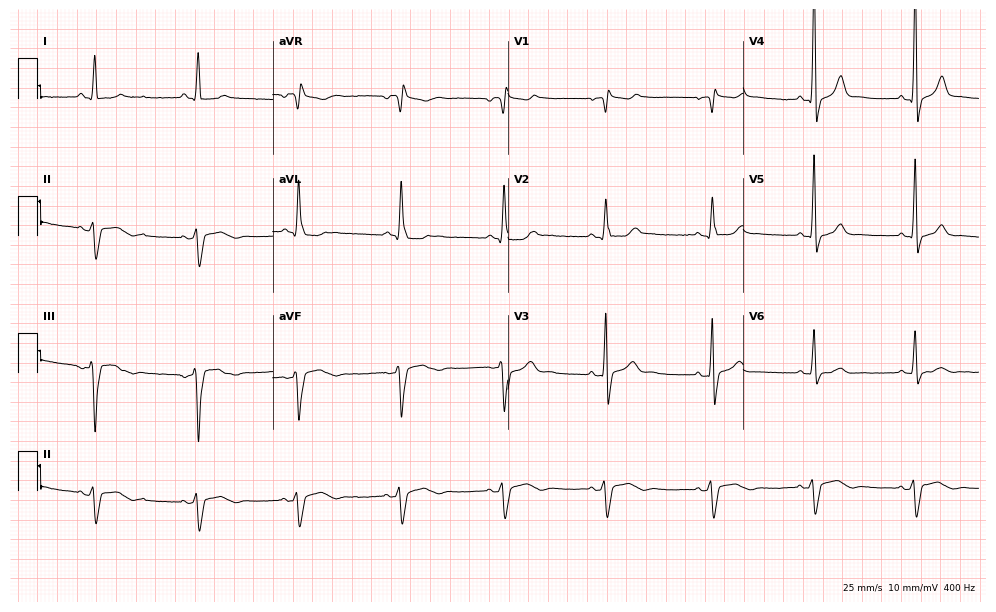
12-lead ECG from a male patient, 17 years old. Findings include right bundle branch block.